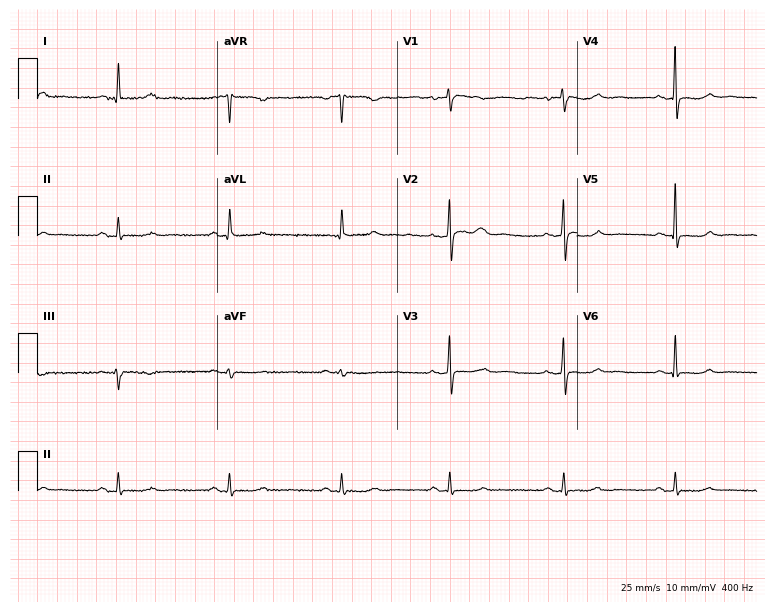
Electrocardiogram (7.3-second recording at 400 Hz), a woman, 67 years old. Of the six screened findings (first-degree AV block, right bundle branch block, left bundle branch block, sinus bradycardia, atrial fibrillation, sinus tachycardia), none is recorded. Only these six findings were labelled.